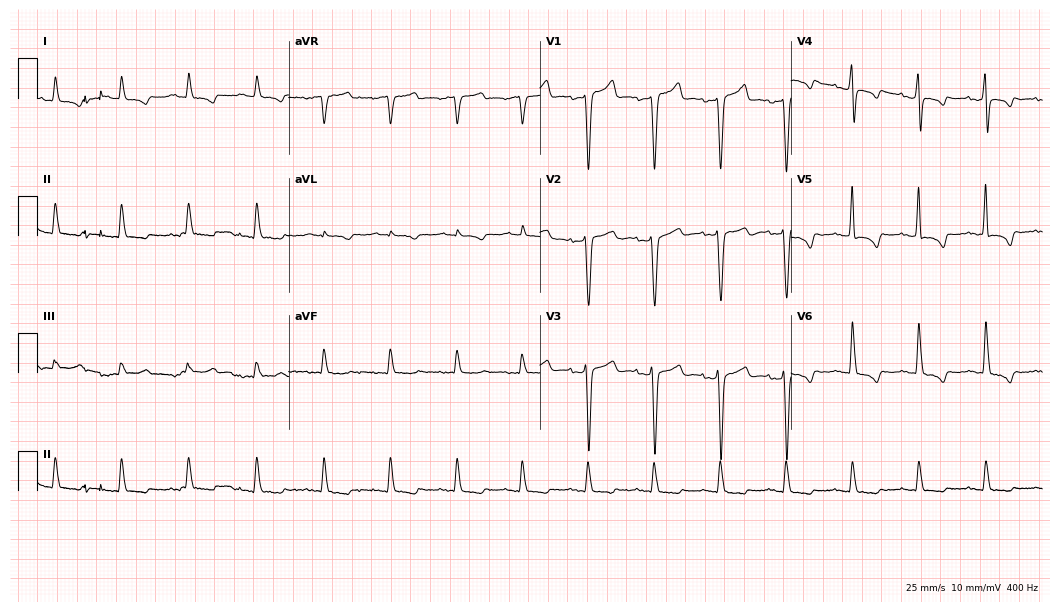
ECG — a 51-year-old male. Screened for six findings — first-degree AV block, right bundle branch block, left bundle branch block, sinus bradycardia, atrial fibrillation, sinus tachycardia — none is recorded. Findings outside these six are not listed.